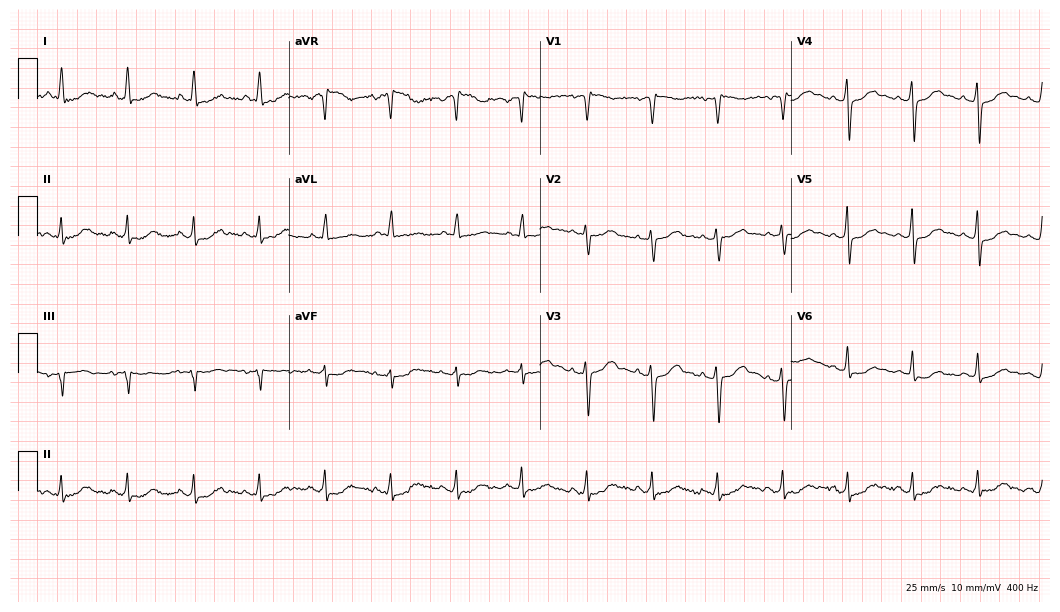
12-lead ECG from a female, 55 years old. Recorded interpretation: within normal limits.